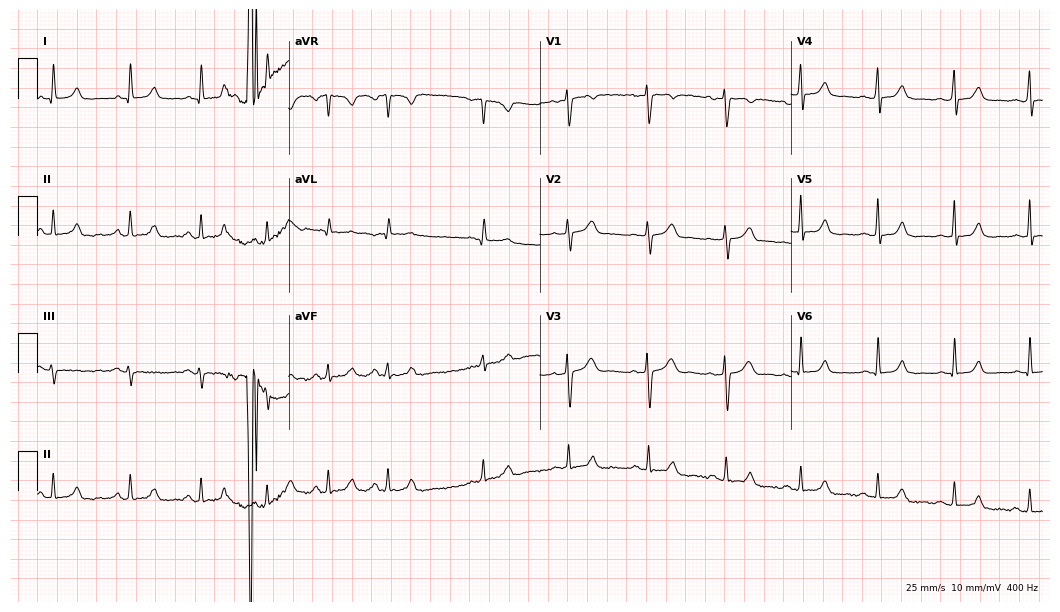
12-lead ECG from a female, 30 years old. No first-degree AV block, right bundle branch block, left bundle branch block, sinus bradycardia, atrial fibrillation or sinus tachycardia recorded for this tracing. Other findings, if any, are not listed.